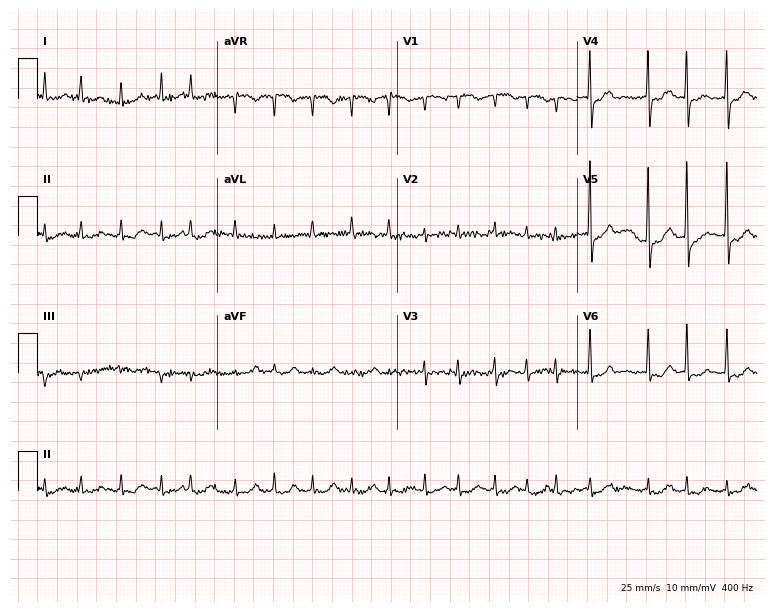
12-lead ECG from a male patient, 84 years old. No first-degree AV block, right bundle branch block, left bundle branch block, sinus bradycardia, atrial fibrillation or sinus tachycardia recorded for this tracing. Other findings, if any, are not listed.